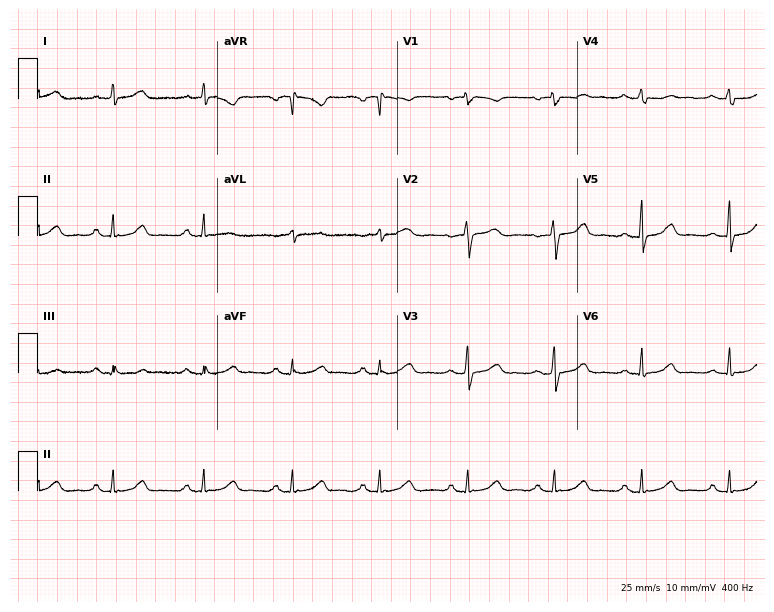
Electrocardiogram (7.3-second recording at 400 Hz), a female, 42 years old. Overall reading on record: normal ECG.